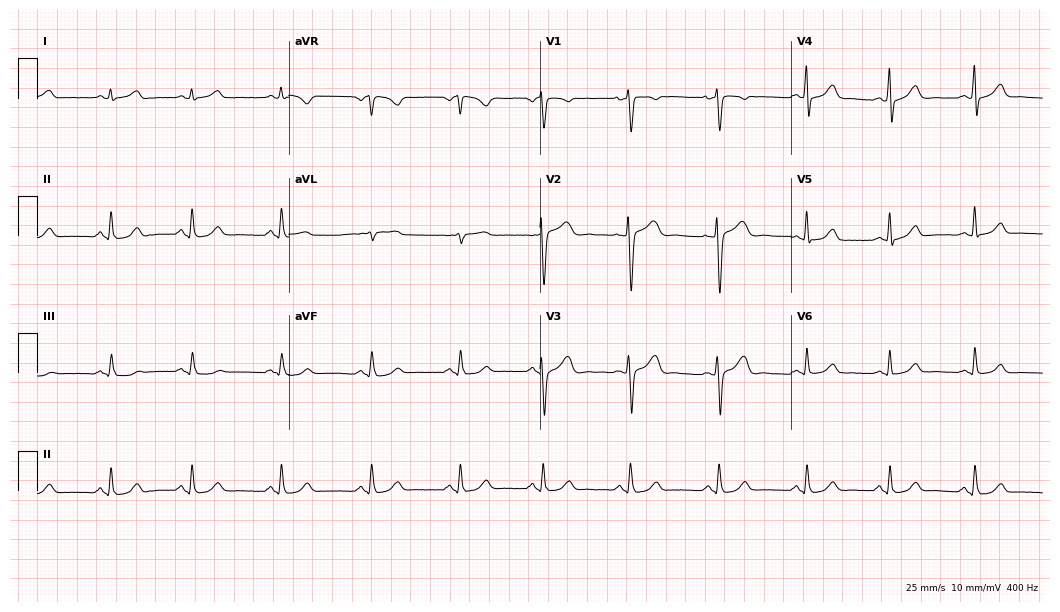
Electrocardiogram, a woman, 35 years old. Of the six screened findings (first-degree AV block, right bundle branch block (RBBB), left bundle branch block (LBBB), sinus bradycardia, atrial fibrillation (AF), sinus tachycardia), none is recorded.